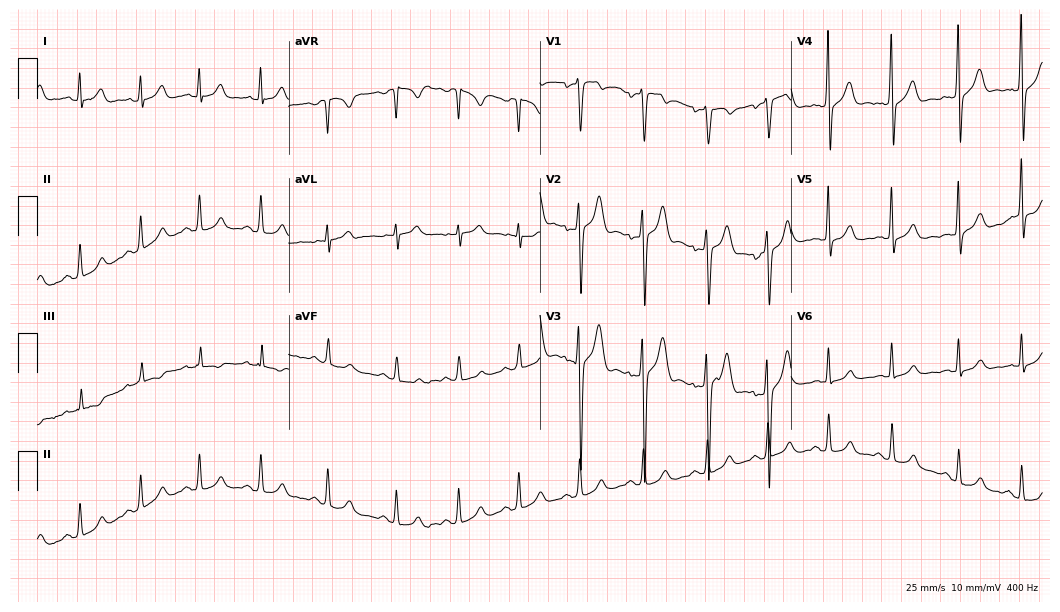
ECG — a female patient, 18 years old. Labelled as a normal ECG.